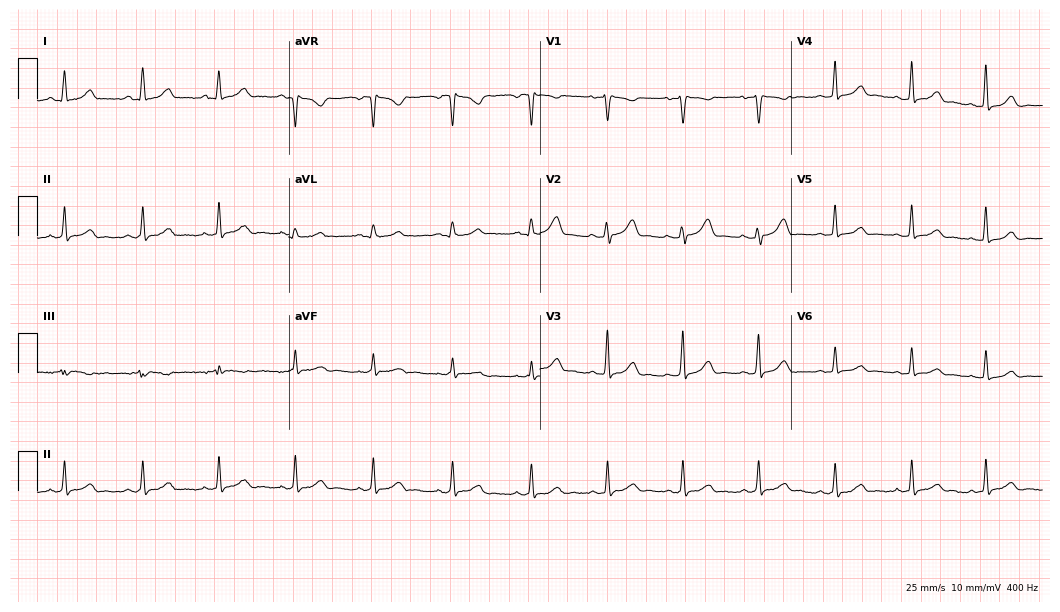
Standard 12-lead ECG recorded from a 34-year-old female. Read as a normal ECG.